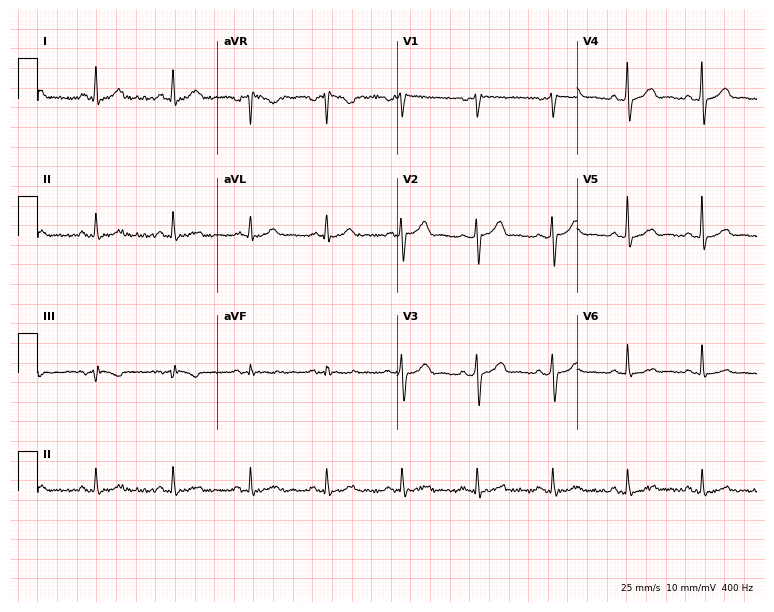
Electrocardiogram, a man, 64 years old. Overall reading on record: normal ECG.